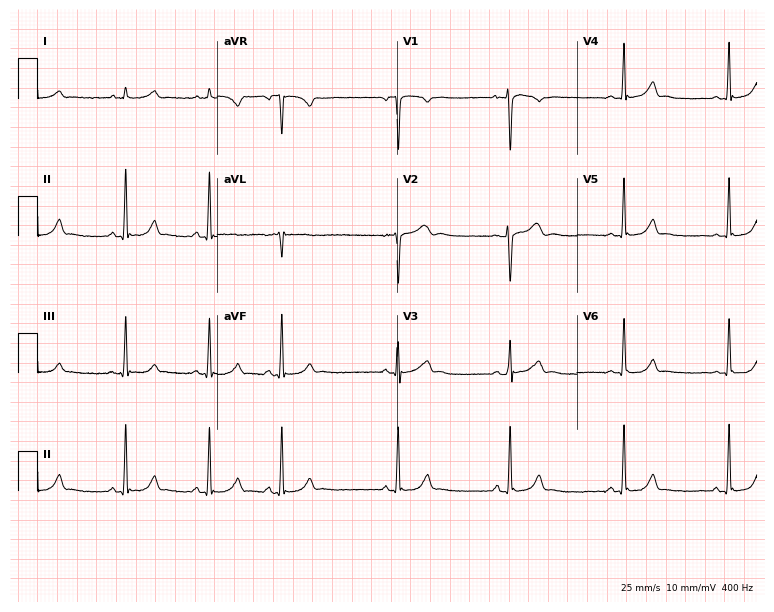
Standard 12-lead ECG recorded from a female patient, 17 years old (7.3-second recording at 400 Hz). Read as a normal ECG.